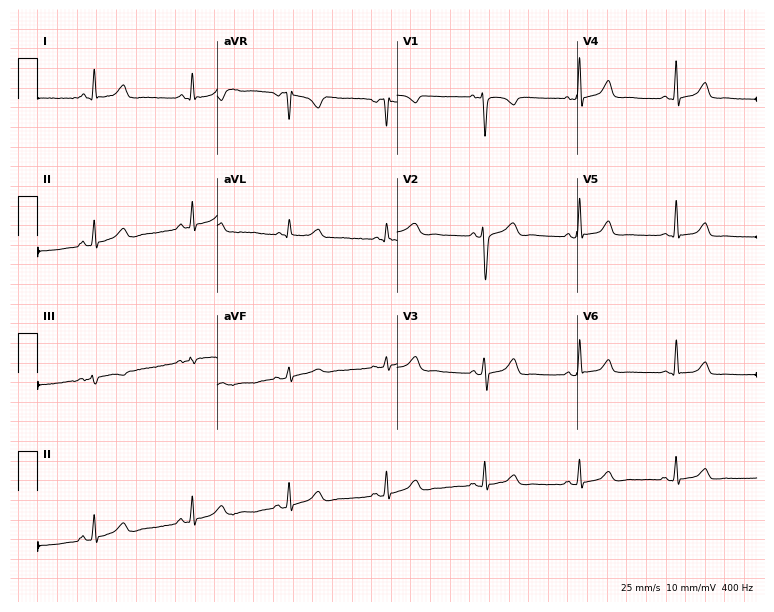
Standard 12-lead ECG recorded from a 39-year-old female. None of these six findings is recorded: first-degree AV block, right bundle branch block (RBBB), left bundle branch block (LBBB), sinus bradycardia, atrial fibrillation (AF), sinus tachycardia.